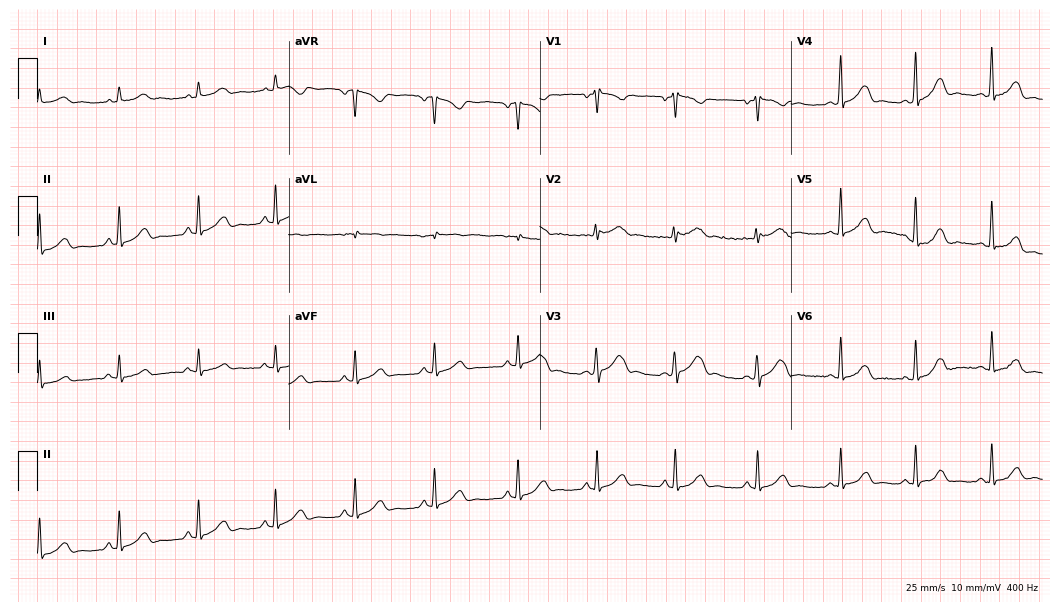
Standard 12-lead ECG recorded from a female patient, 21 years old (10.2-second recording at 400 Hz). Read as a normal ECG.